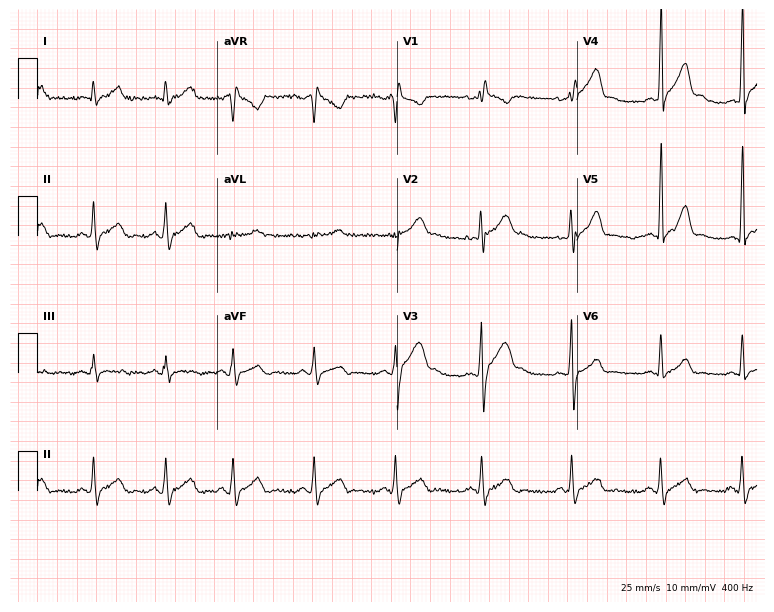
ECG — a man, 34 years old. Screened for six findings — first-degree AV block, right bundle branch block (RBBB), left bundle branch block (LBBB), sinus bradycardia, atrial fibrillation (AF), sinus tachycardia — none is recorded.